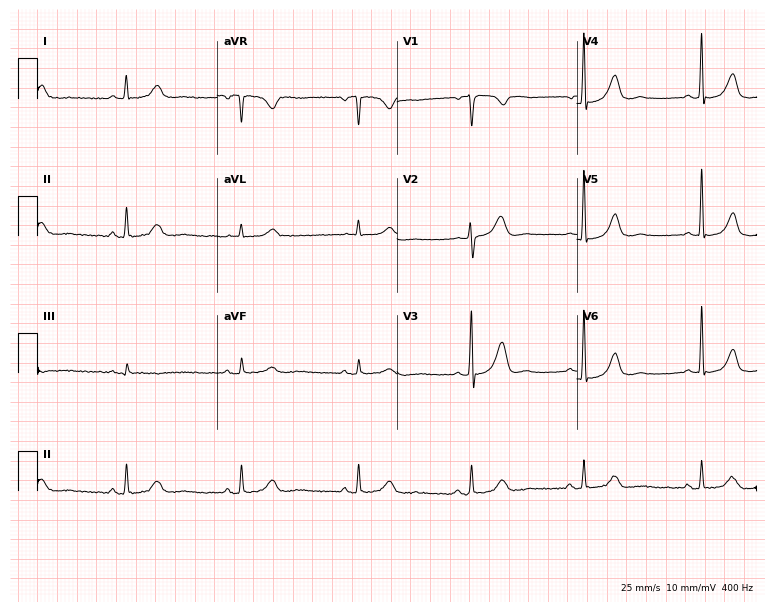
Resting 12-lead electrocardiogram. Patient: a female, 46 years old. None of these six findings is recorded: first-degree AV block, right bundle branch block, left bundle branch block, sinus bradycardia, atrial fibrillation, sinus tachycardia.